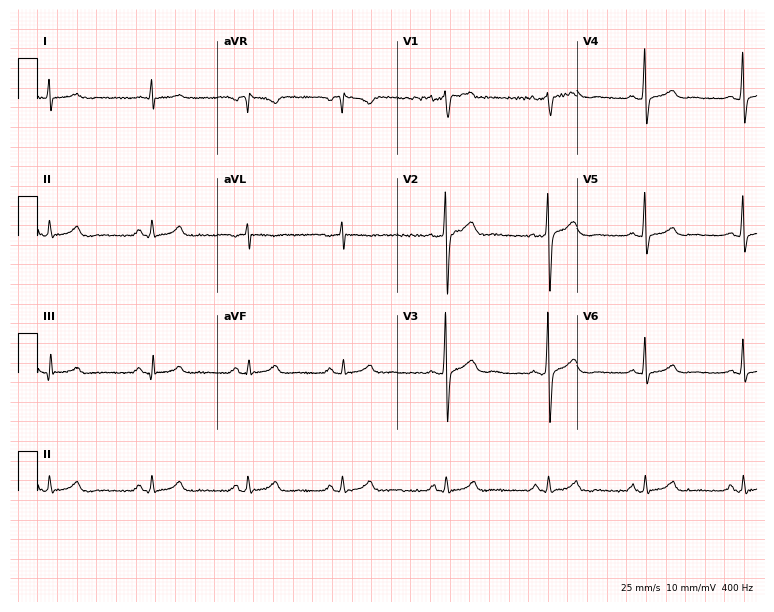
12-lead ECG from a male patient, 37 years old. Recorded interpretation: within normal limits.